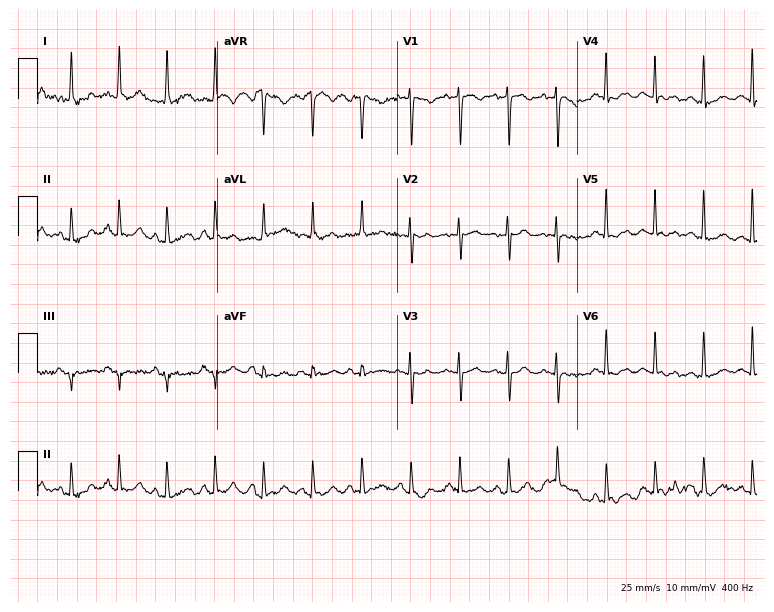
Standard 12-lead ECG recorded from a female, 57 years old (7.3-second recording at 400 Hz). The tracing shows sinus tachycardia (a sinus rate of 100 beats per minute or more).